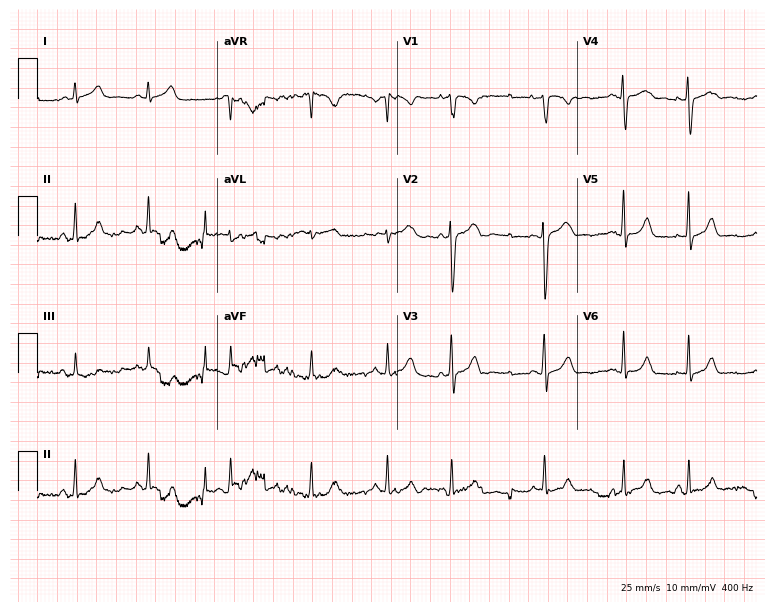
Standard 12-lead ECG recorded from a female, 22 years old (7.3-second recording at 400 Hz). Read as a normal ECG.